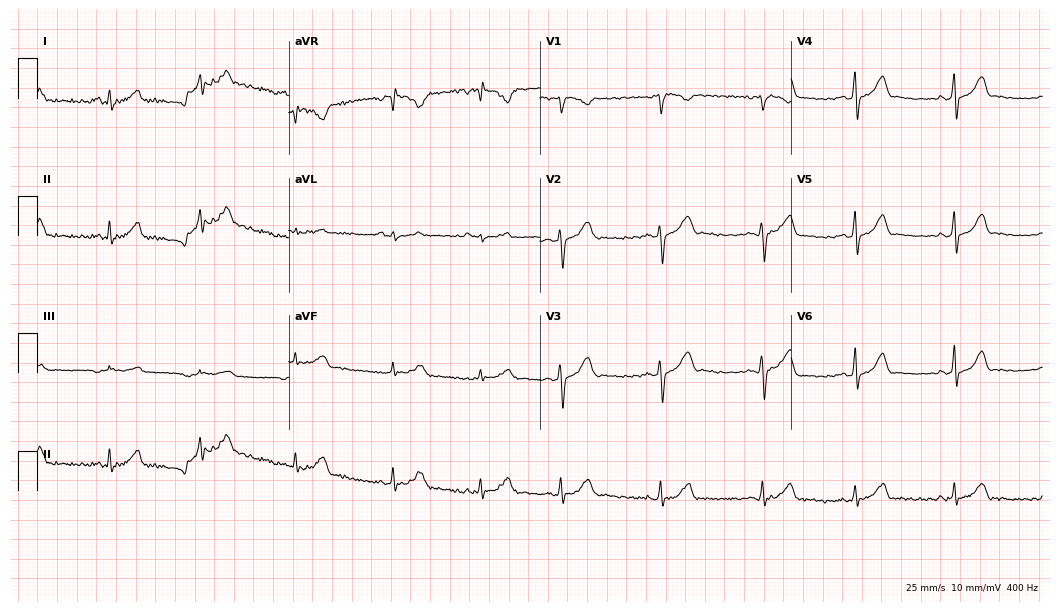
12-lead ECG from a female, 25 years old. Recorded interpretation: within normal limits.